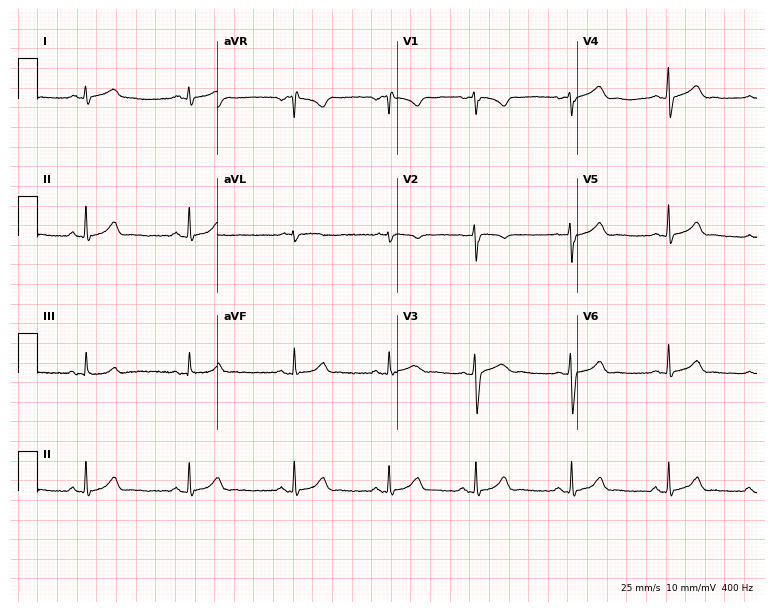
Standard 12-lead ECG recorded from a woman, 19 years old (7.3-second recording at 400 Hz). None of these six findings is recorded: first-degree AV block, right bundle branch block, left bundle branch block, sinus bradycardia, atrial fibrillation, sinus tachycardia.